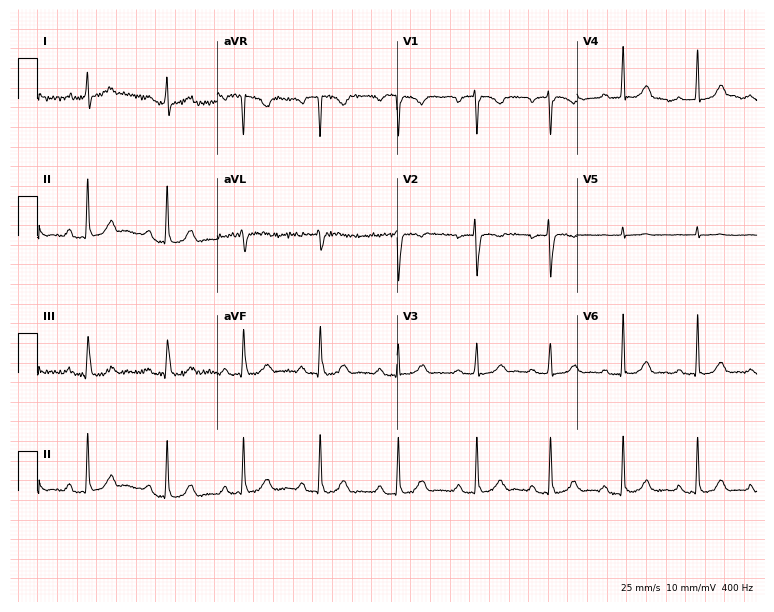
12-lead ECG from a 29-year-old woman. Screened for six findings — first-degree AV block, right bundle branch block, left bundle branch block, sinus bradycardia, atrial fibrillation, sinus tachycardia — none is recorded.